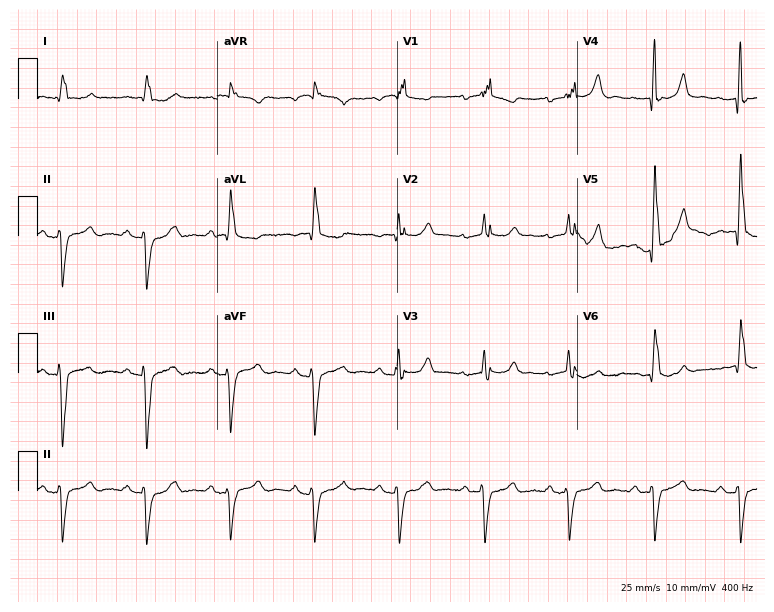
Standard 12-lead ECG recorded from a woman, 85 years old (7.3-second recording at 400 Hz). None of these six findings is recorded: first-degree AV block, right bundle branch block, left bundle branch block, sinus bradycardia, atrial fibrillation, sinus tachycardia. Other findings, if any, are not listed.